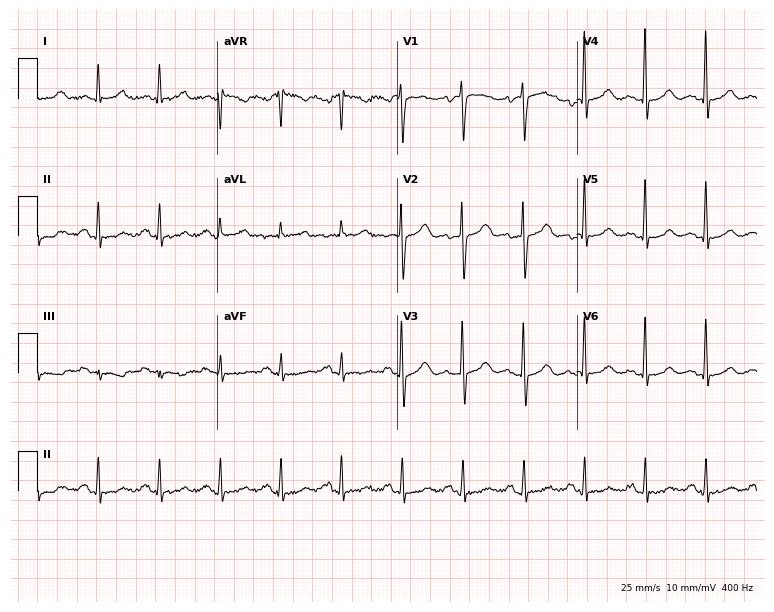
Standard 12-lead ECG recorded from a female patient, 66 years old (7.3-second recording at 400 Hz). Read as a normal ECG.